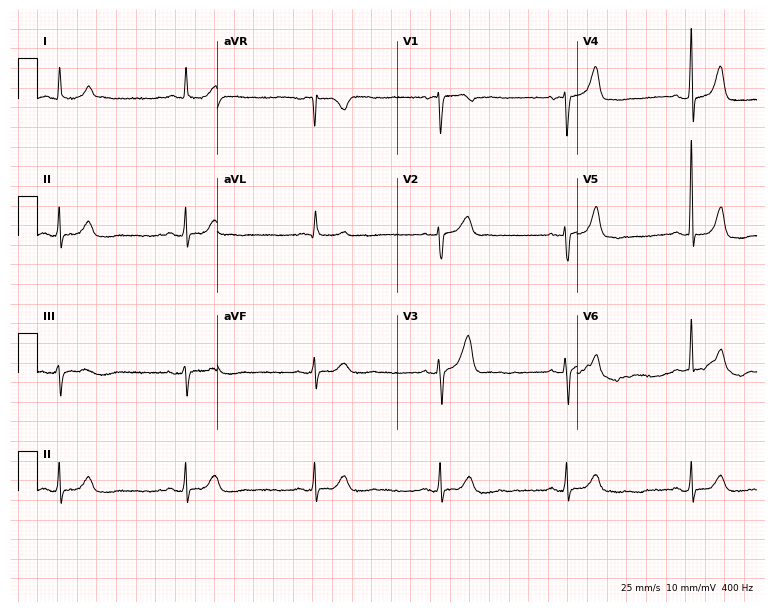
ECG (7.3-second recording at 400 Hz) — a 75-year-old woman. Findings include sinus bradycardia (a sinus rate of 50 beats per minute or less).